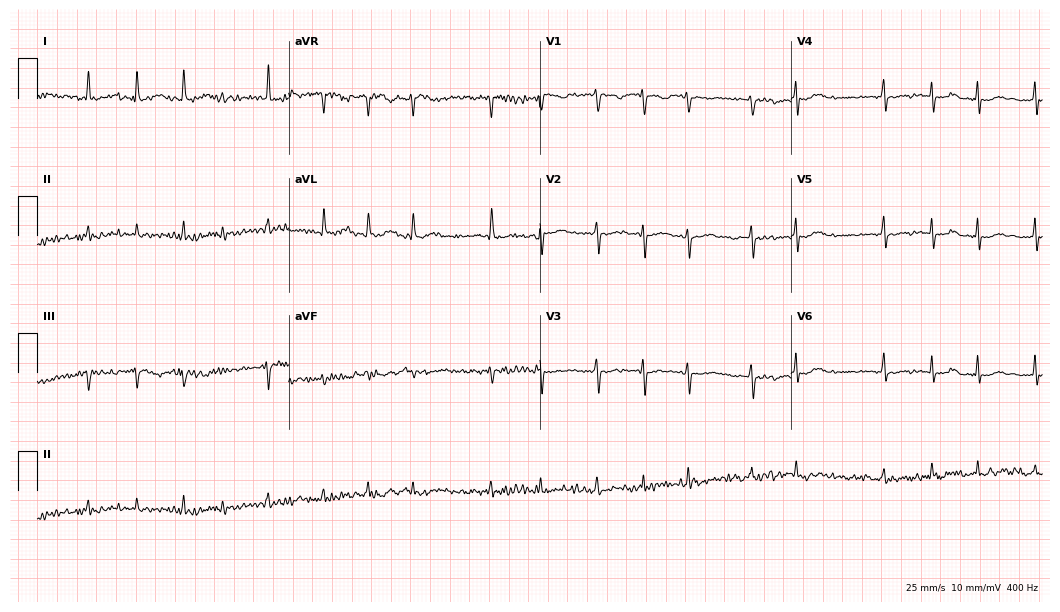
Standard 12-lead ECG recorded from a woman, 68 years old. The tracing shows atrial fibrillation.